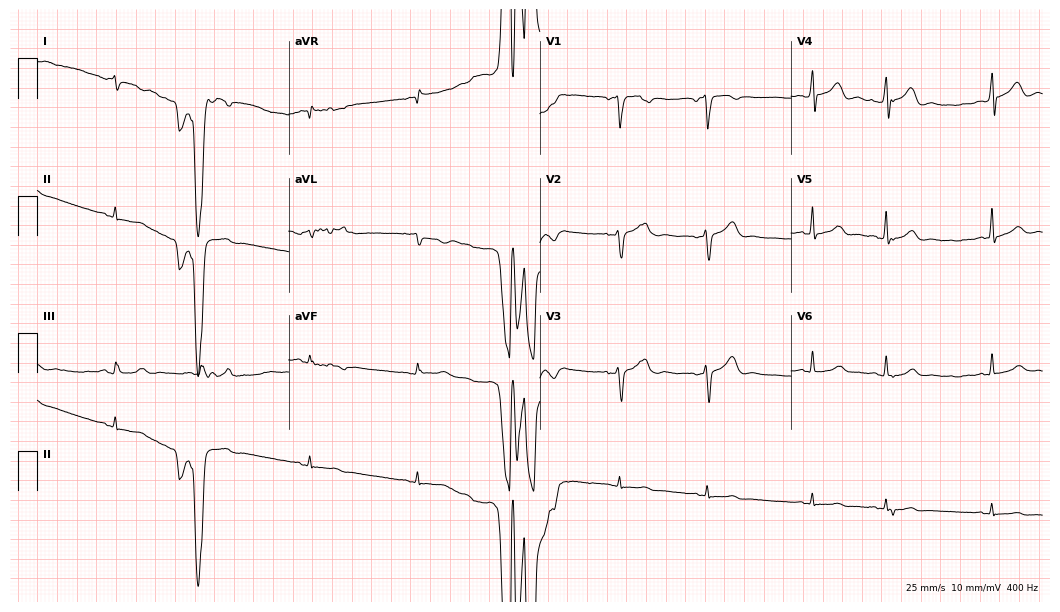
Electrocardiogram, a male patient, 78 years old. Of the six screened findings (first-degree AV block, right bundle branch block, left bundle branch block, sinus bradycardia, atrial fibrillation, sinus tachycardia), none is recorded. Findings outside these six are not listed.